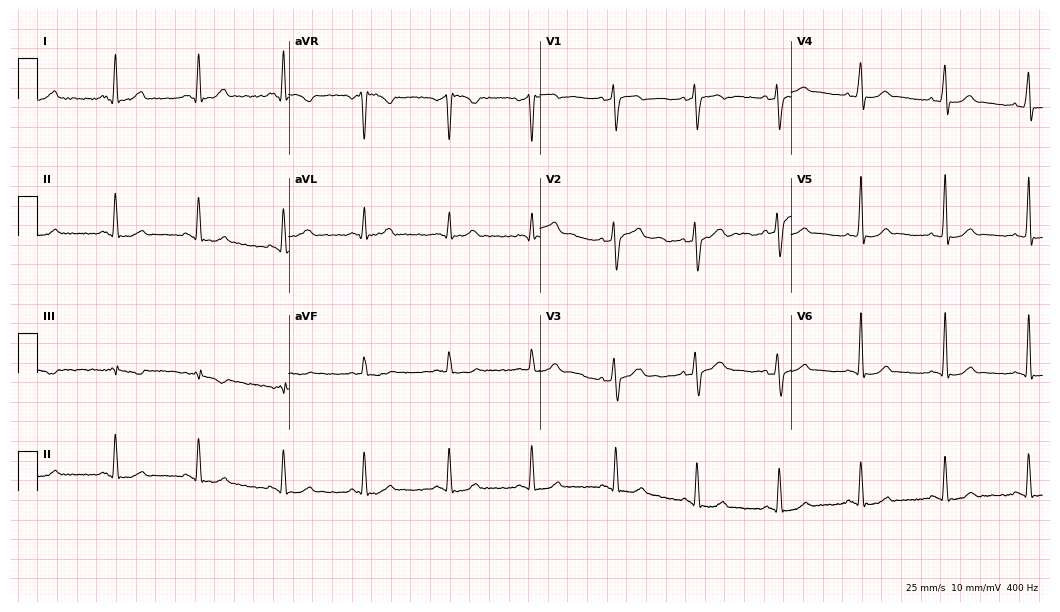
Electrocardiogram, a 46-year-old woman. Of the six screened findings (first-degree AV block, right bundle branch block, left bundle branch block, sinus bradycardia, atrial fibrillation, sinus tachycardia), none is recorded.